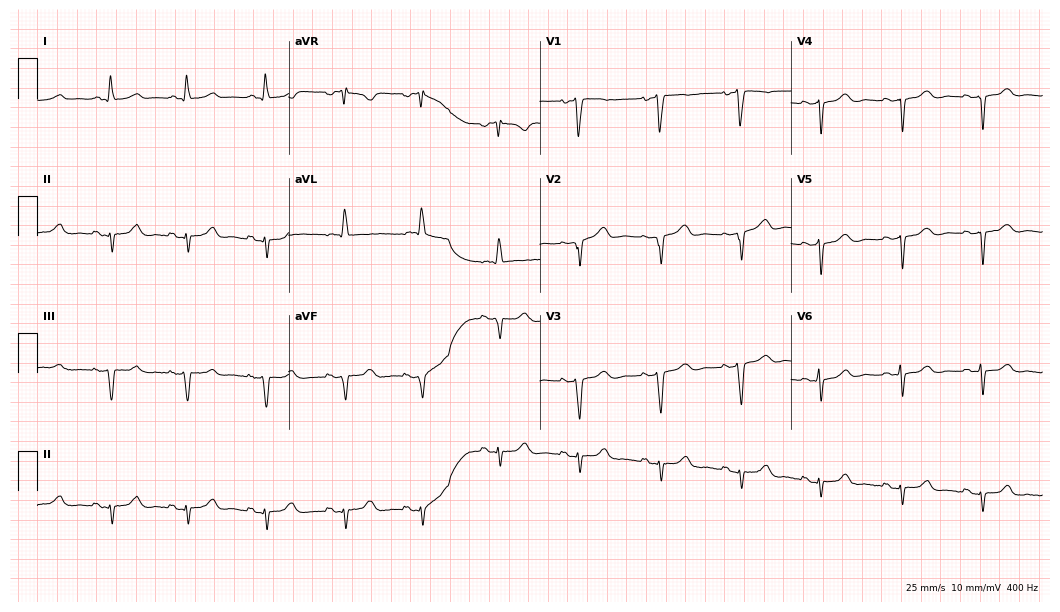
ECG — a 76-year-old female. Screened for six findings — first-degree AV block, right bundle branch block, left bundle branch block, sinus bradycardia, atrial fibrillation, sinus tachycardia — none is recorded.